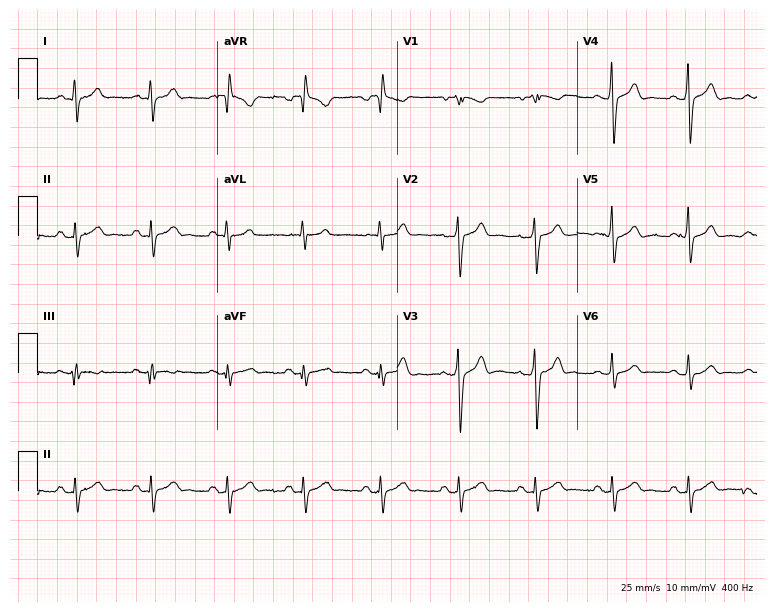
Electrocardiogram (7.3-second recording at 400 Hz), a man, 35 years old. Overall reading on record: normal ECG.